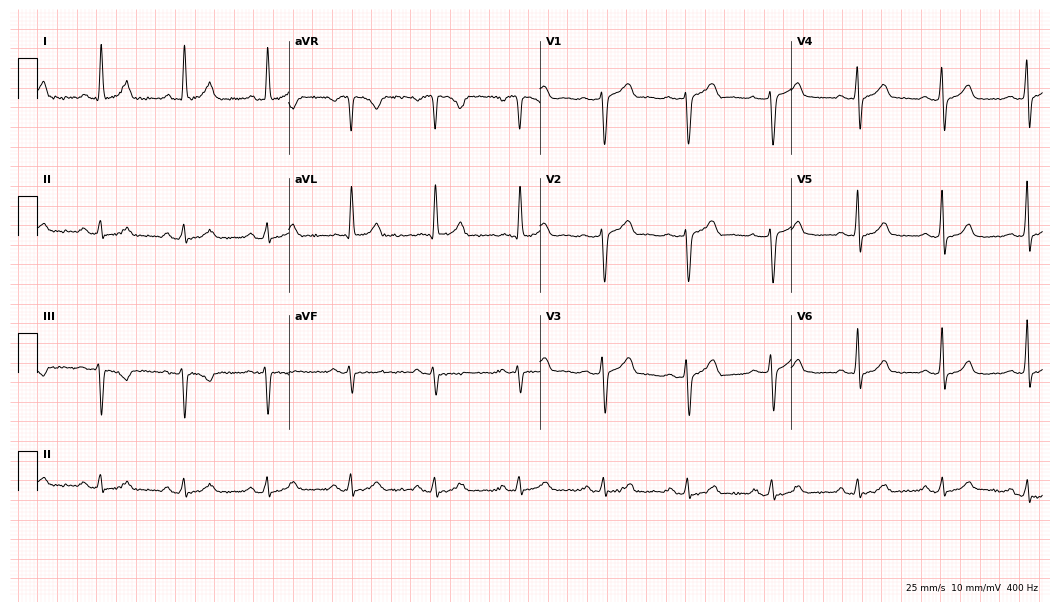
Electrocardiogram (10.2-second recording at 400 Hz), a 66-year-old male patient. Overall reading on record: normal ECG.